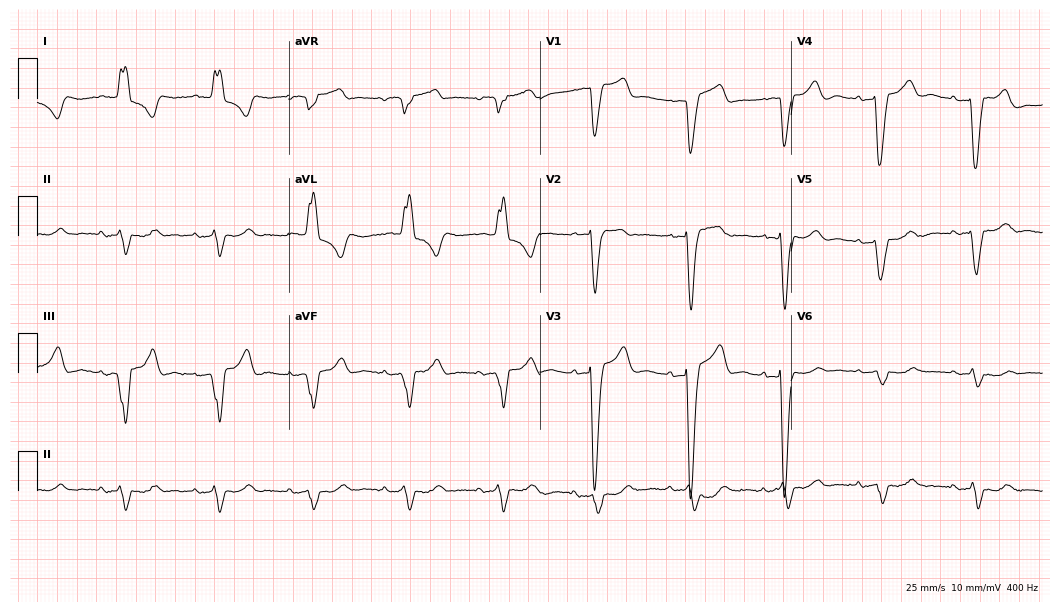
Standard 12-lead ECG recorded from a 70-year-old female. The tracing shows left bundle branch block.